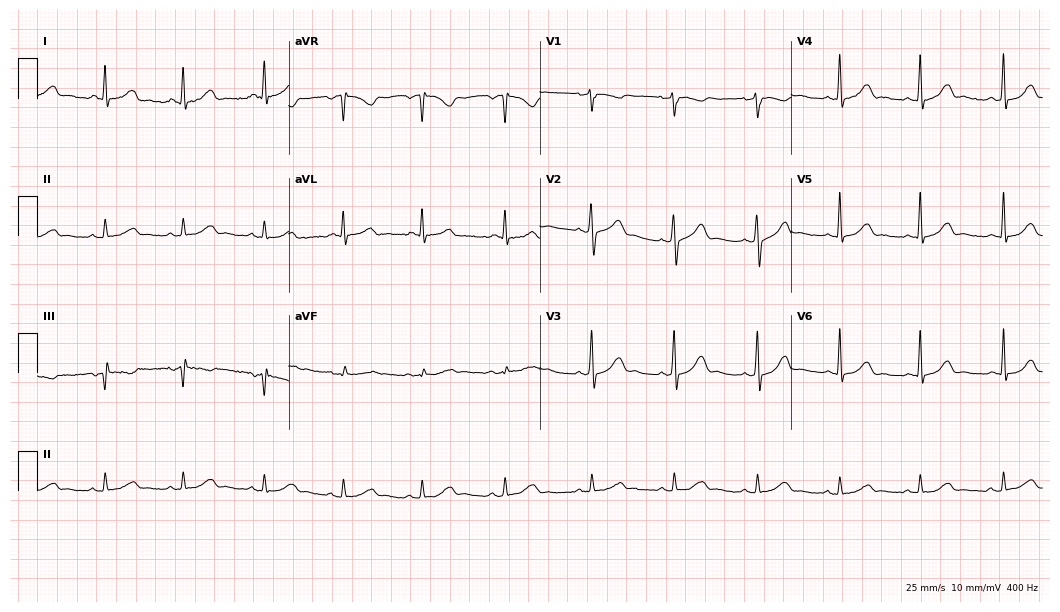
Electrocardiogram, a 54-year-old woman. Overall reading on record: normal ECG.